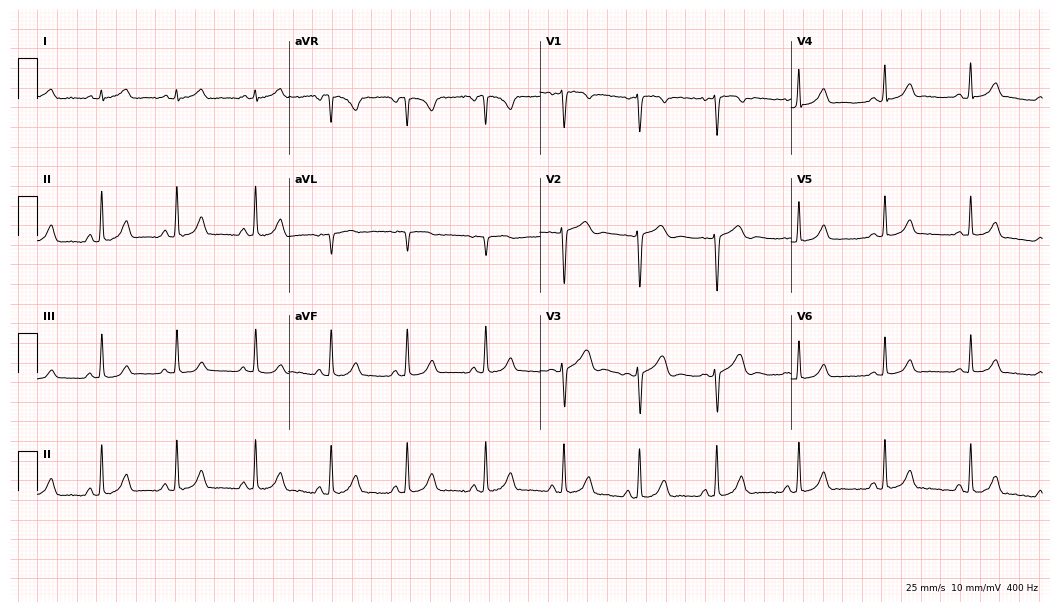
ECG — a female, 29 years old. Labelled as a normal ECG.